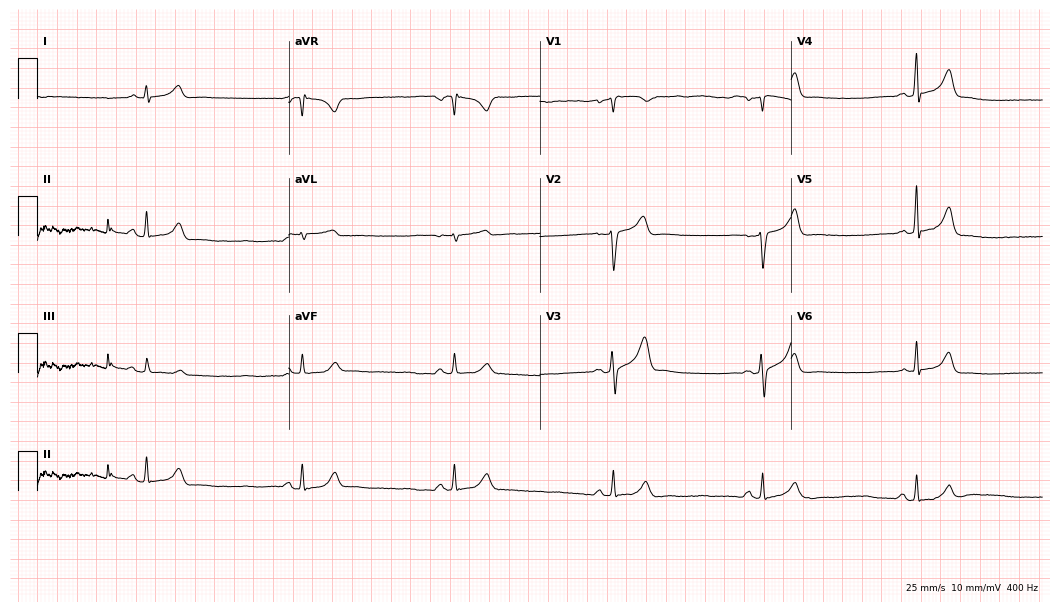
Electrocardiogram (10.2-second recording at 400 Hz), a male patient, 38 years old. Of the six screened findings (first-degree AV block, right bundle branch block, left bundle branch block, sinus bradycardia, atrial fibrillation, sinus tachycardia), none is recorded.